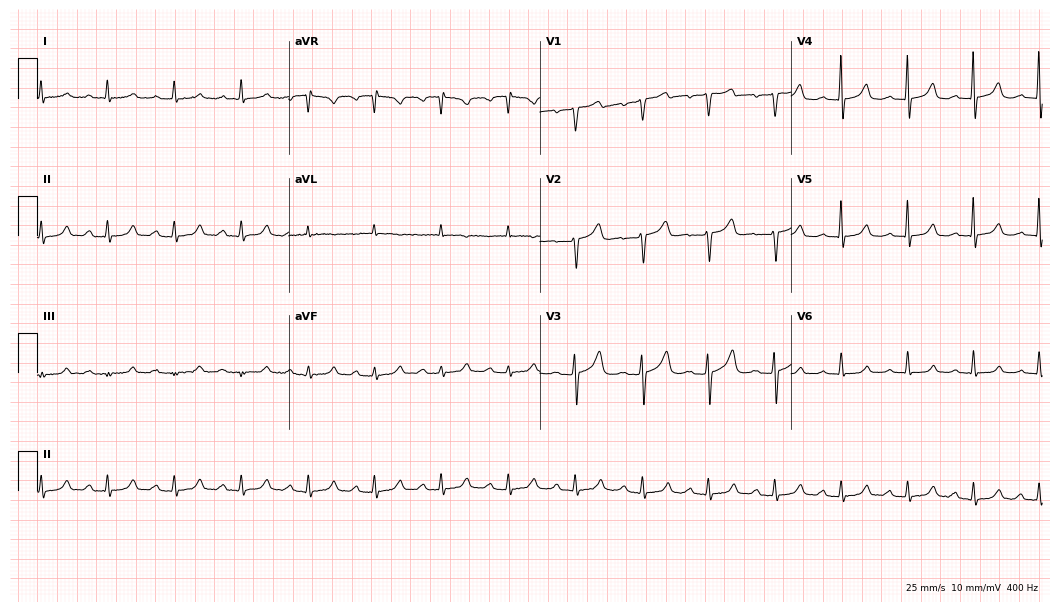
12-lead ECG from a 73-year-old woman. Shows first-degree AV block.